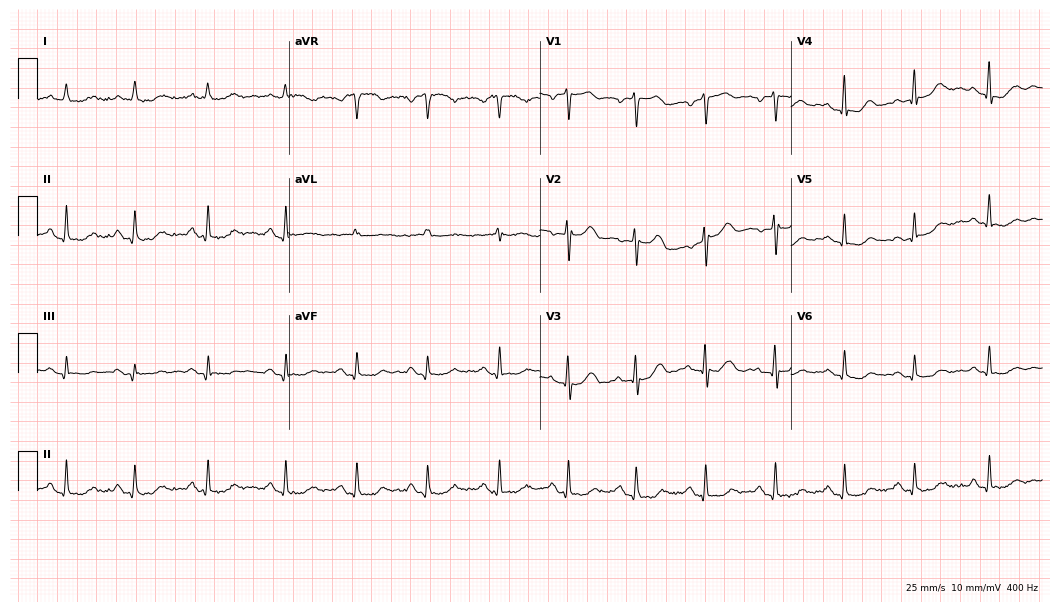
ECG — a 58-year-old female patient. Labelled as a normal ECG.